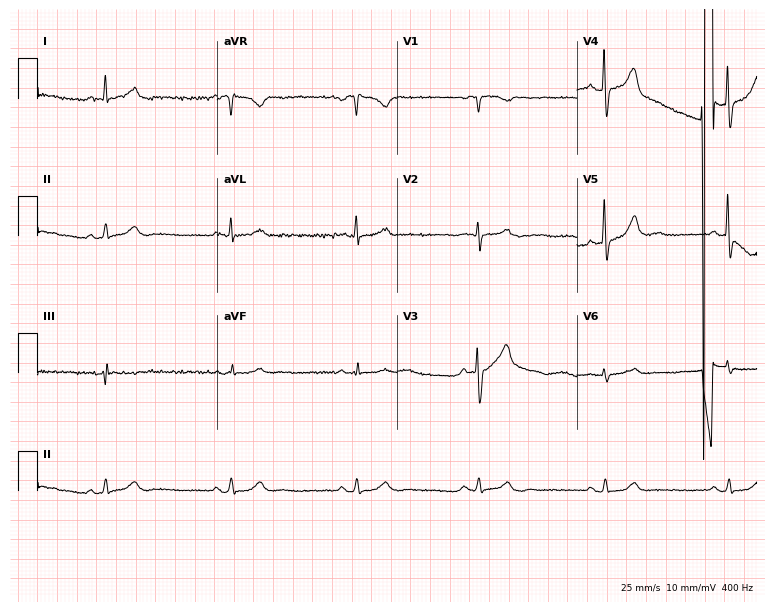
Electrocardiogram (7.3-second recording at 400 Hz), a 78-year-old male patient. Of the six screened findings (first-degree AV block, right bundle branch block (RBBB), left bundle branch block (LBBB), sinus bradycardia, atrial fibrillation (AF), sinus tachycardia), none is recorded. Only these six findings were labelled.